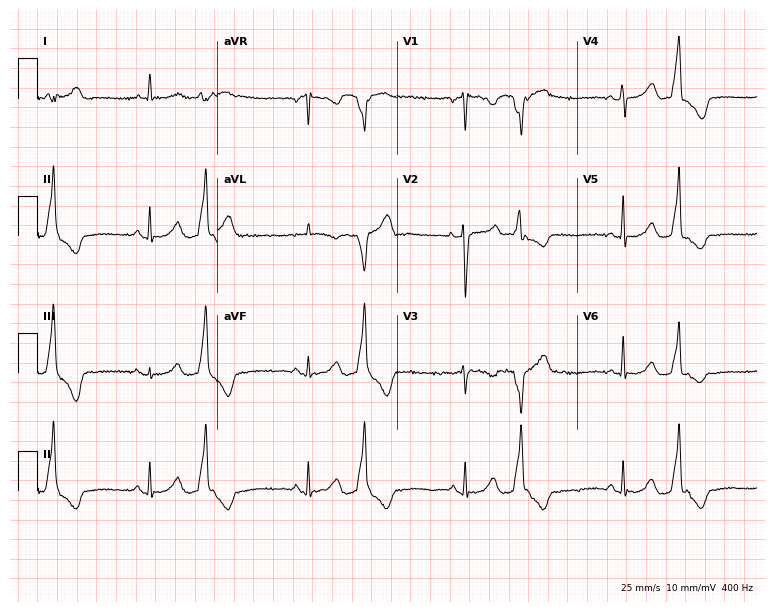
ECG (7.3-second recording at 400 Hz) — a 41-year-old female. Screened for six findings — first-degree AV block, right bundle branch block, left bundle branch block, sinus bradycardia, atrial fibrillation, sinus tachycardia — none is recorded. Other findings, if any, are not listed.